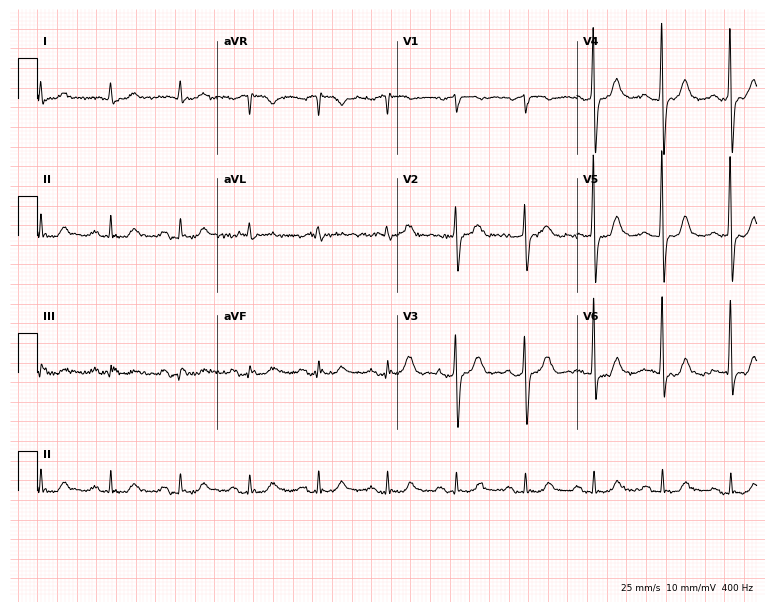
Electrocardiogram, a 74-year-old male patient. Overall reading on record: normal ECG.